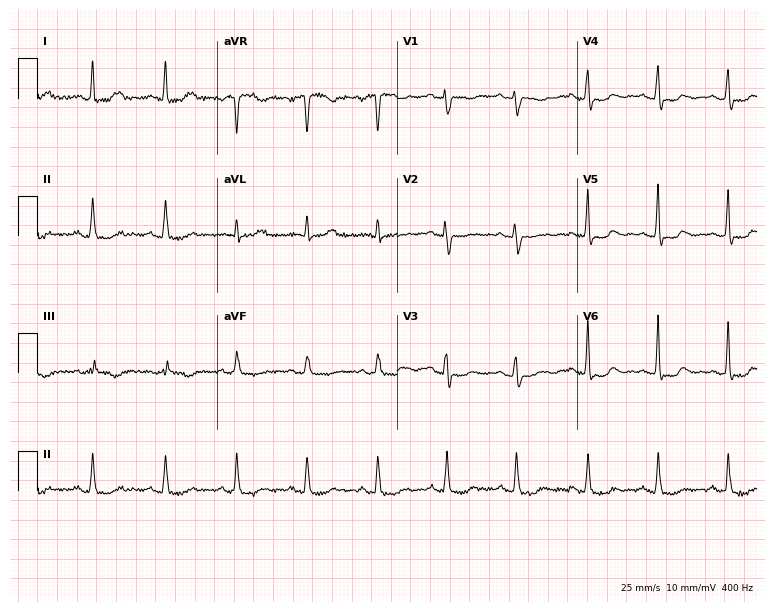
Resting 12-lead electrocardiogram. Patient: a female, 39 years old. Read as a normal ECG.